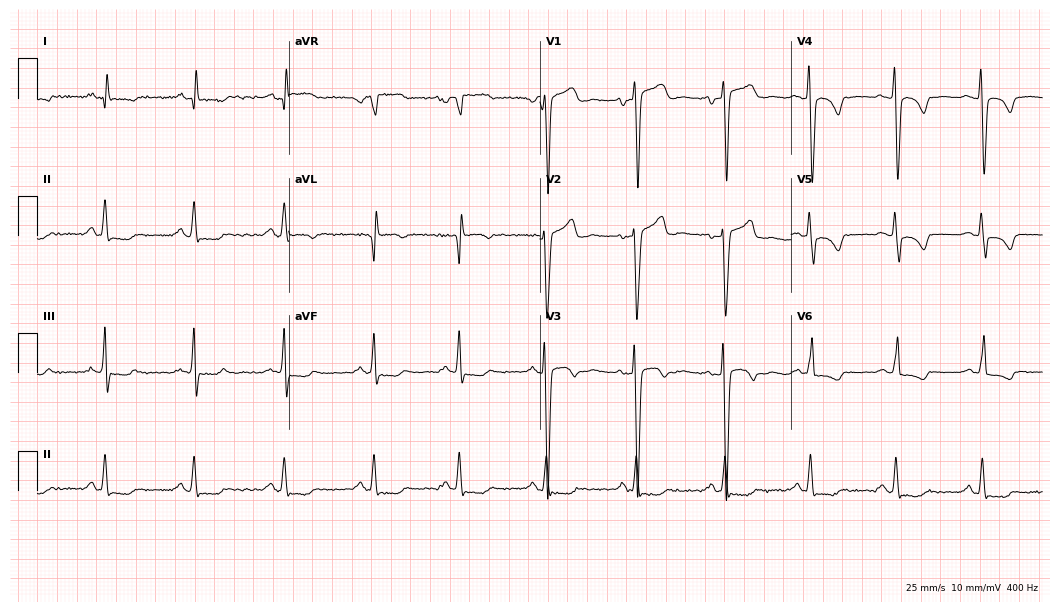
12-lead ECG from a man, 40 years old (10.2-second recording at 400 Hz). No first-degree AV block, right bundle branch block (RBBB), left bundle branch block (LBBB), sinus bradycardia, atrial fibrillation (AF) or sinus tachycardia recorded for this tracing. Other findings, if any, are not listed.